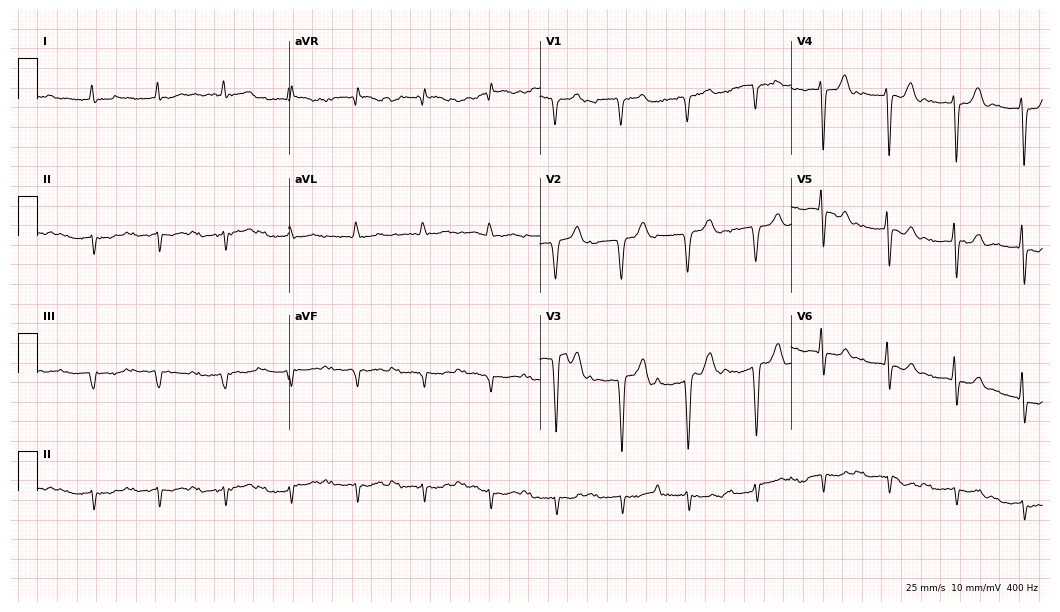
Electrocardiogram (10.2-second recording at 400 Hz), a male patient, 84 years old. Interpretation includes first-degree AV block.